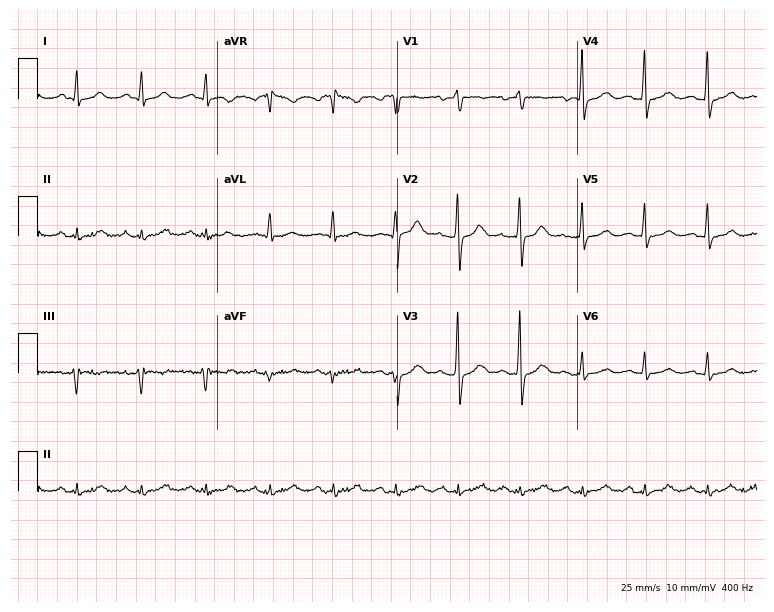
Electrocardiogram, a male patient, 32 years old. Of the six screened findings (first-degree AV block, right bundle branch block, left bundle branch block, sinus bradycardia, atrial fibrillation, sinus tachycardia), none is recorded.